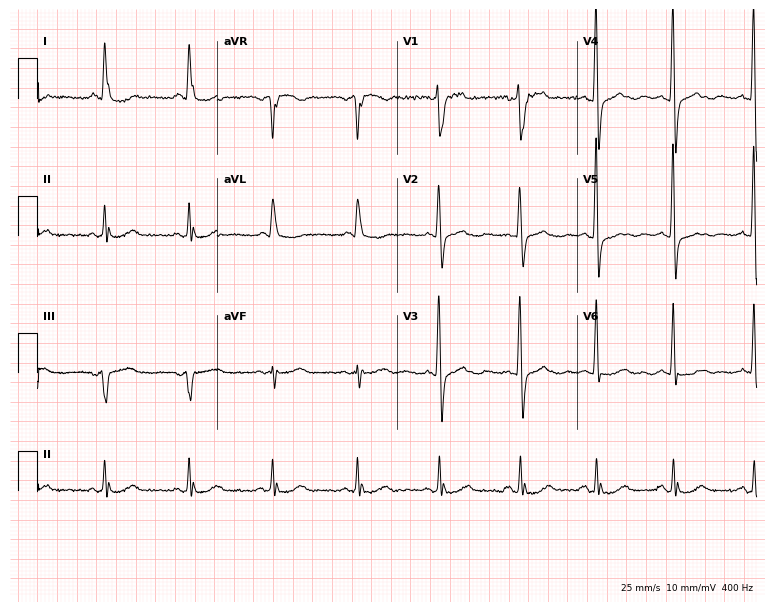
Electrocardiogram (7.3-second recording at 400 Hz), a 62-year-old female patient. Of the six screened findings (first-degree AV block, right bundle branch block, left bundle branch block, sinus bradycardia, atrial fibrillation, sinus tachycardia), none is recorded.